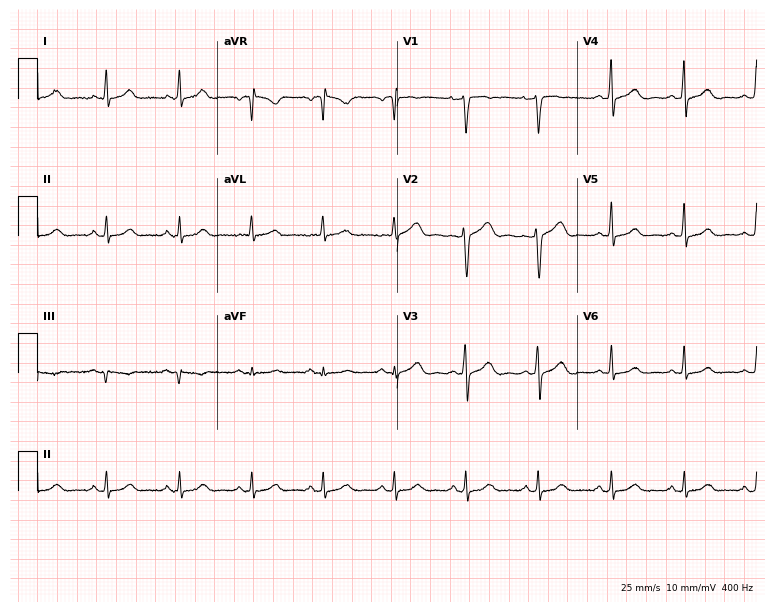
12-lead ECG from a female, 50 years old. Labelled as a normal ECG.